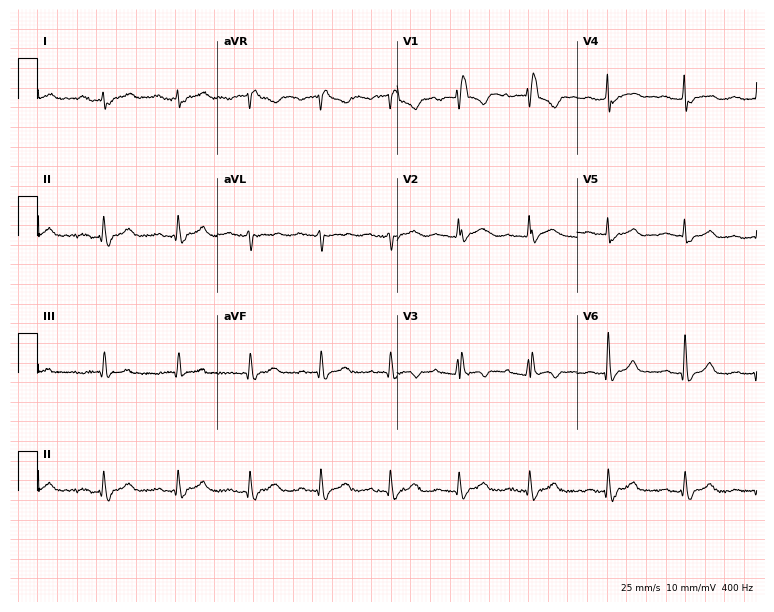
12-lead ECG from a 72-year-old female patient. Findings include first-degree AV block, right bundle branch block.